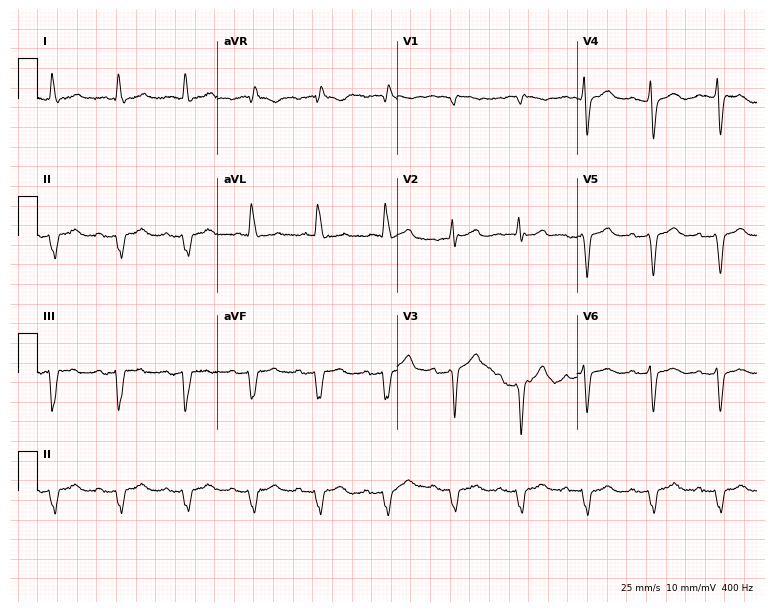
12-lead ECG from a man, 70 years old (7.3-second recording at 400 Hz). No first-degree AV block, right bundle branch block, left bundle branch block, sinus bradycardia, atrial fibrillation or sinus tachycardia recorded for this tracing.